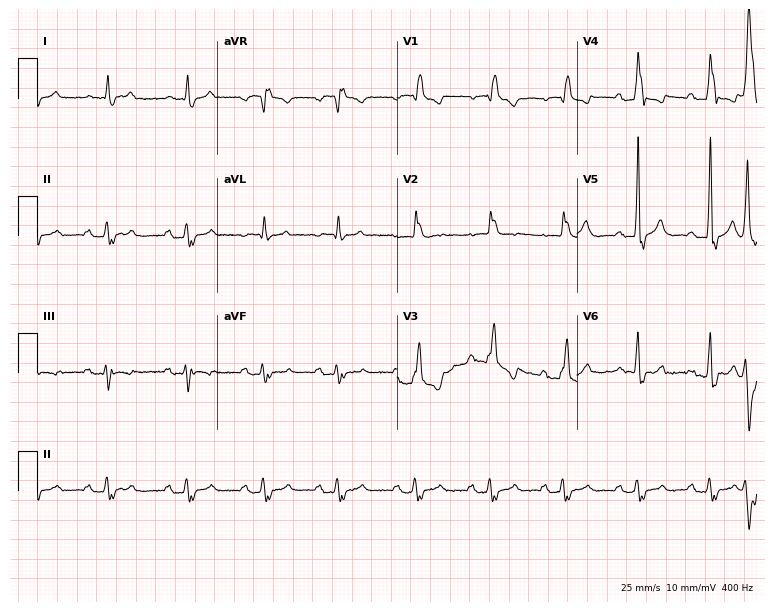
Standard 12-lead ECG recorded from a male, 84 years old. The tracing shows right bundle branch block (RBBB).